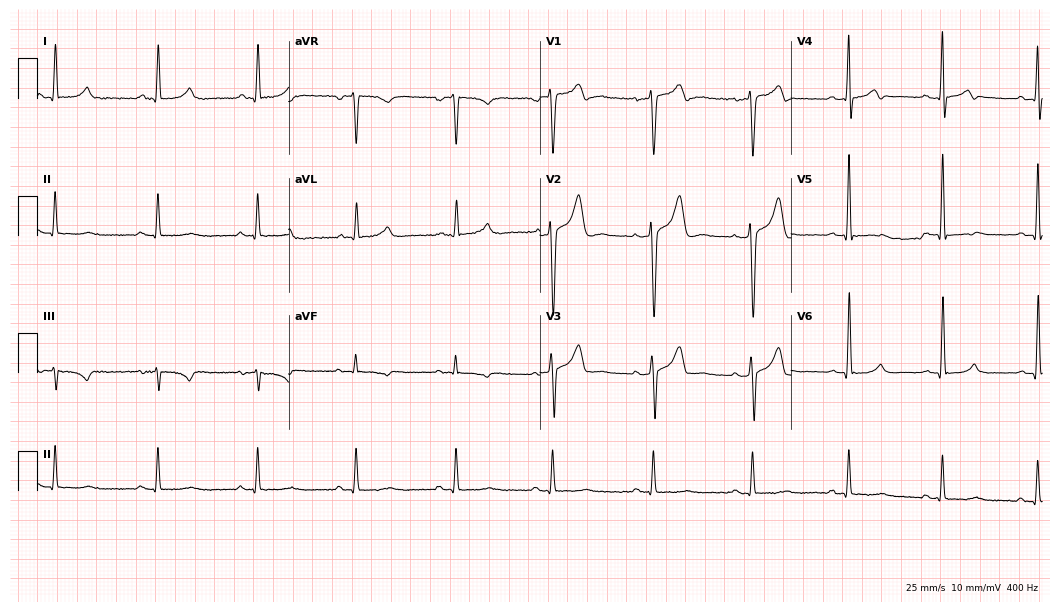
ECG (10.2-second recording at 400 Hz) — a male patient, 38 years old. Screened for six findings — first-degree AV block, right bundle branch block (RBBB), left bundle branch block (LBBB), sinus bradycardia, atrial fibrillation (AF), sinus tachycardia — none is recorded.